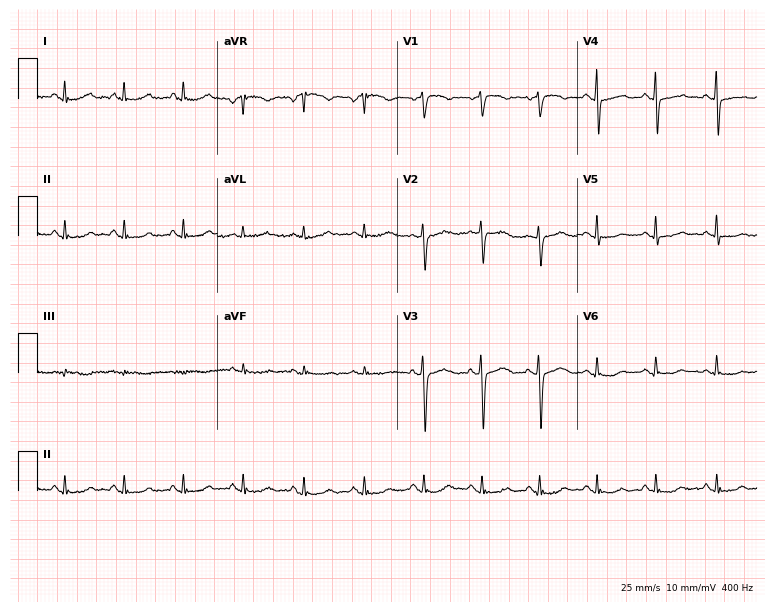
12-lead ECG from a 53-year-old female patient (7.3-second recording at 400 Hz). No first-degree AV block, right bundle branch block, left bundle branch block, sinus bradycardia, atrial fibrillation or sinus tachycardia recorded for this tracing.